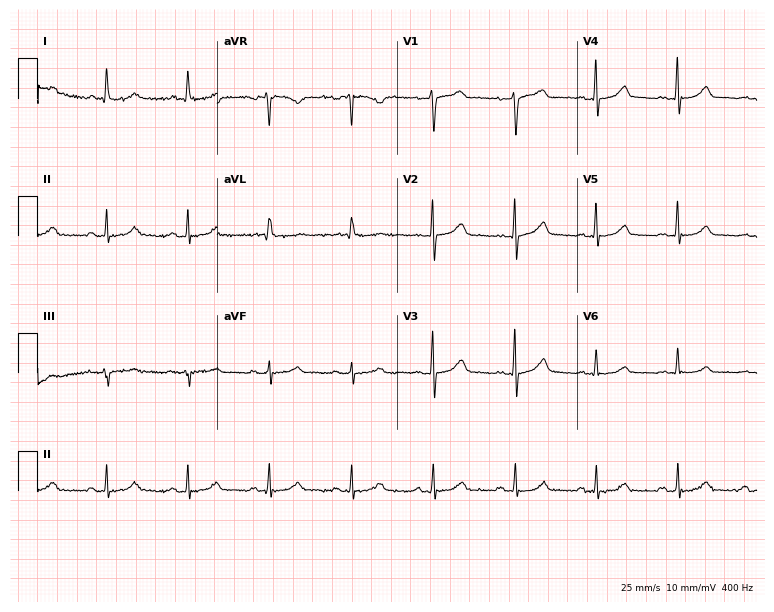
12-lead ECG from a male patient, 55 years old. Labelled as a normal ECG.